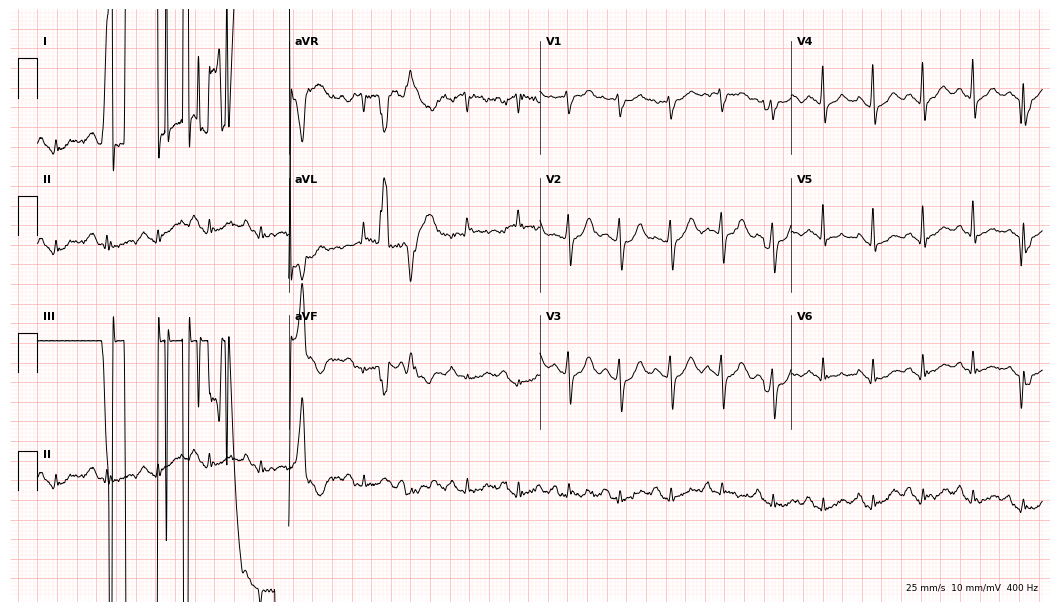
12-lead ECG (10.2-second recording at 400 Hz) from a woman, 76 years old. Screened for six findings — first-degree AV block, right bundle branch block, left bundle branch block, sinus bradycardia, atrial fibrillation, sinus tachycardia — none is recorded. Other findings, if any, are not listed.